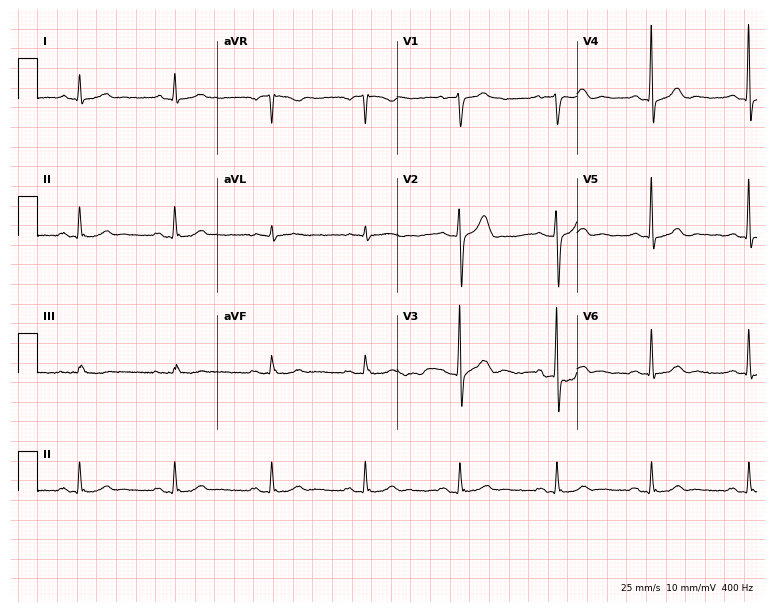
Standard 12-lead ECG recorded from a male patient, 50 years old (7.3-second recording at 400 Hz). Read as a normal ECG.